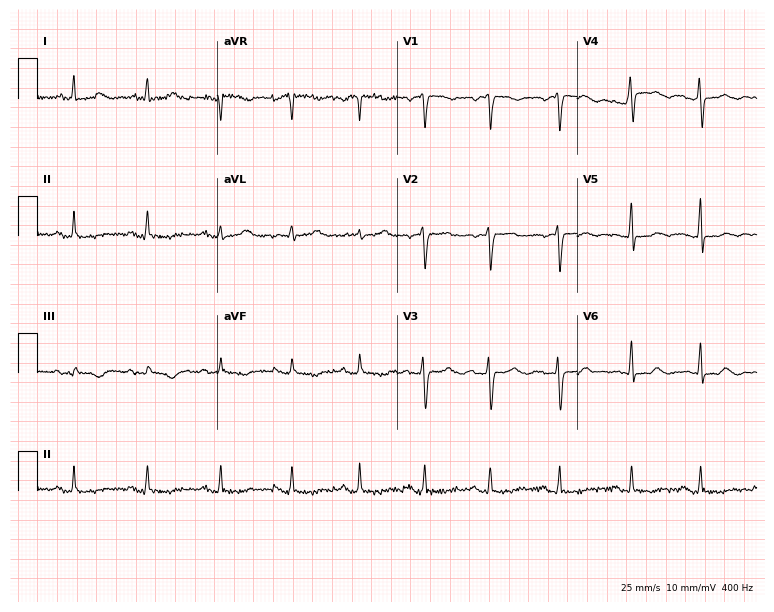
ECG (7.3-second recording at 400 Hz) — a 50-year-old woman. Labelled as a normal ECG.